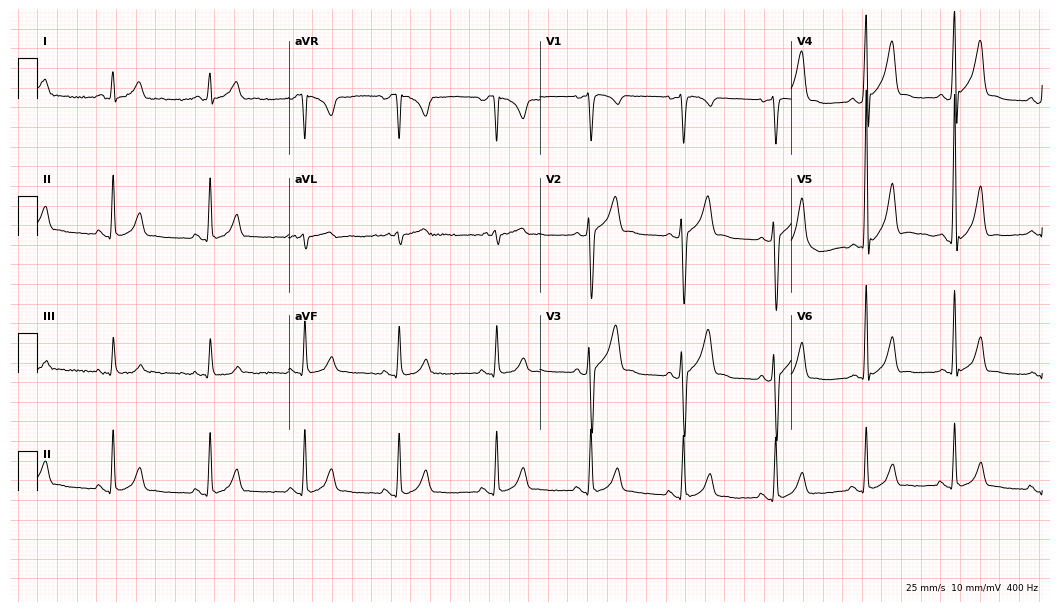
12-lead ECG from a male patient, 40 years old. Recorded interpretation: within normal limits.